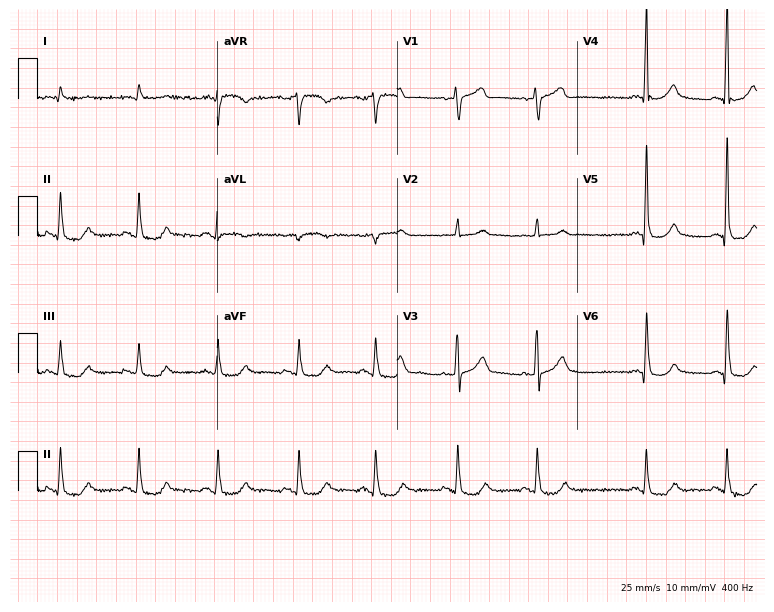
Resting 12-lead electrocardiogram. Patient: a female, 76 years old. None of these six findings is recorded: first-degree AV block, right bundle branch block, left bundle branch block, sinus bradycardia, atrial fibrillation, sinus tachycardia. Only these six findings were labelled.